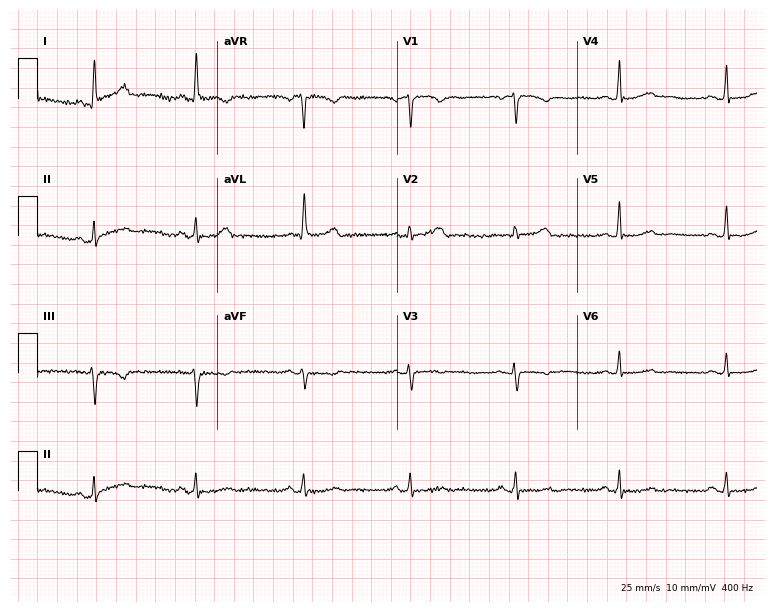
Resting 12-lead electrocardiogram. Patient: a 59-year-old woman. Read as a normal ECG.